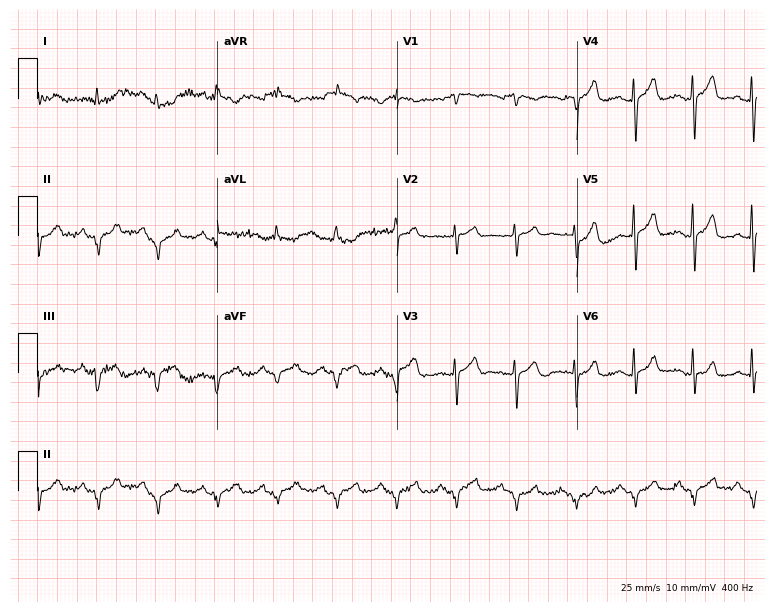
12-lead ECG (7.3-second recording at 400 Hz) from a male, 70 years old. Screened for six findings — first-degree AV block, right bundle branch block, left bundle branch block, sinus bradycardia, atrial fibrillation, sinus tachycardia — none is recorded.